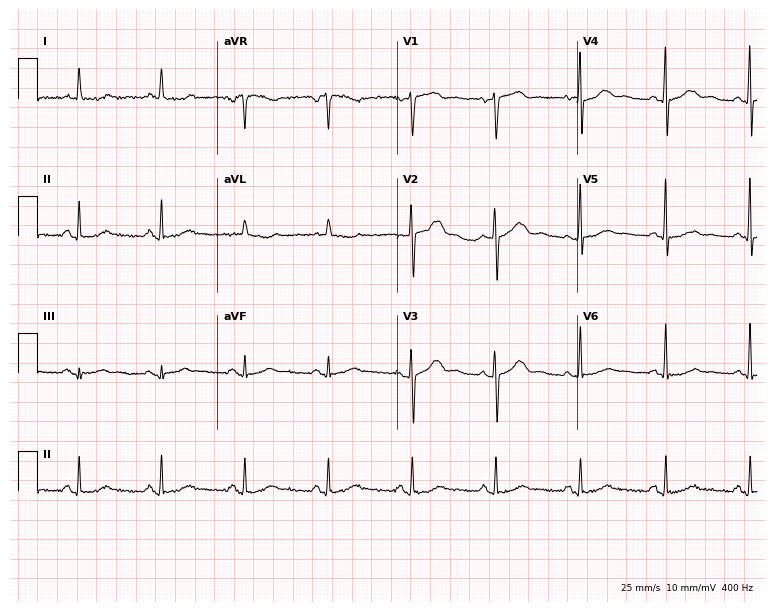
Electrocardiogram, a woman, 74 years old. Of the six screened findings (first-degree AV block, right bundle branch block (RBBB), left bundle branch block (LBBB), sinus bradycardia, atrial fibrillation (AF), sinus tachycardia), none is recorded.